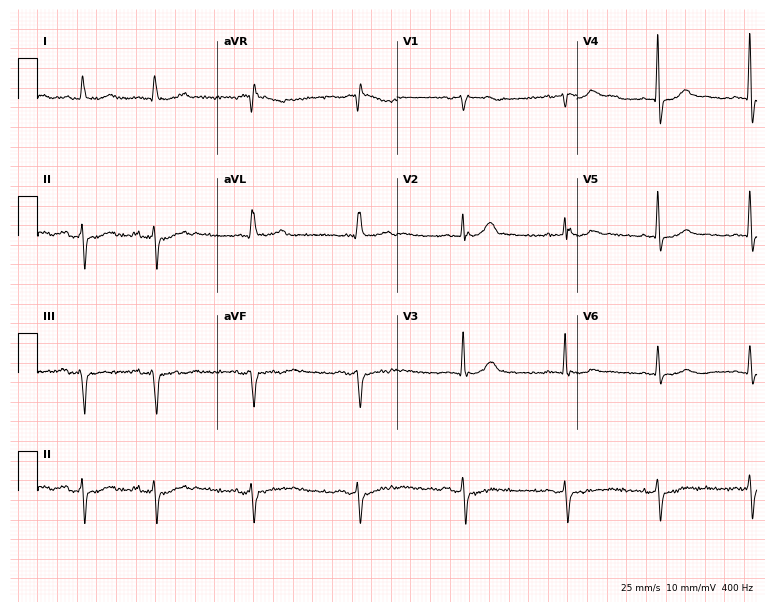
12-lead ECG (7.3-second recording at 400 Hz) from an 83-year-old male. Screened for six findings — first-degree AV block, right bundle branch block, left bundle branch block, sinus bradycardia, atrial fibrillation, sinus tachycardia — none is recorded.